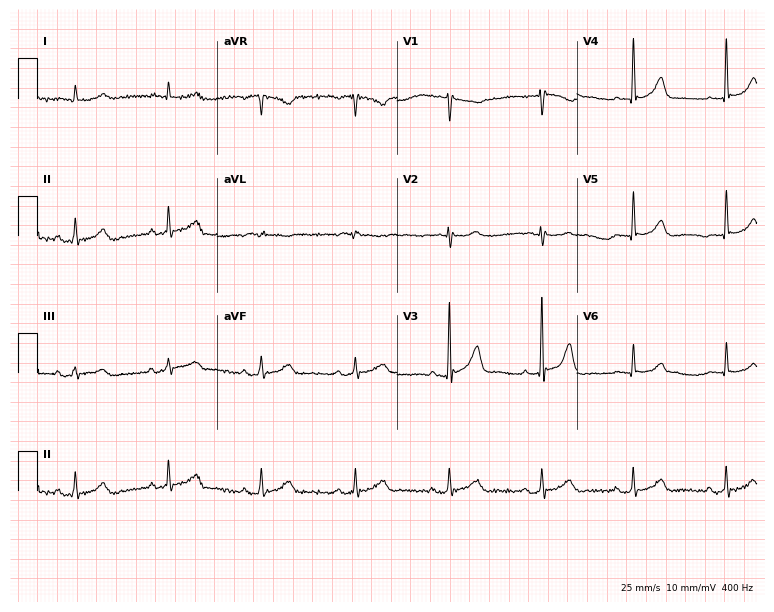
ECG (7.3-second recording at 400 Hz) — a male, 68 years old. Labelled as a normal ECG.